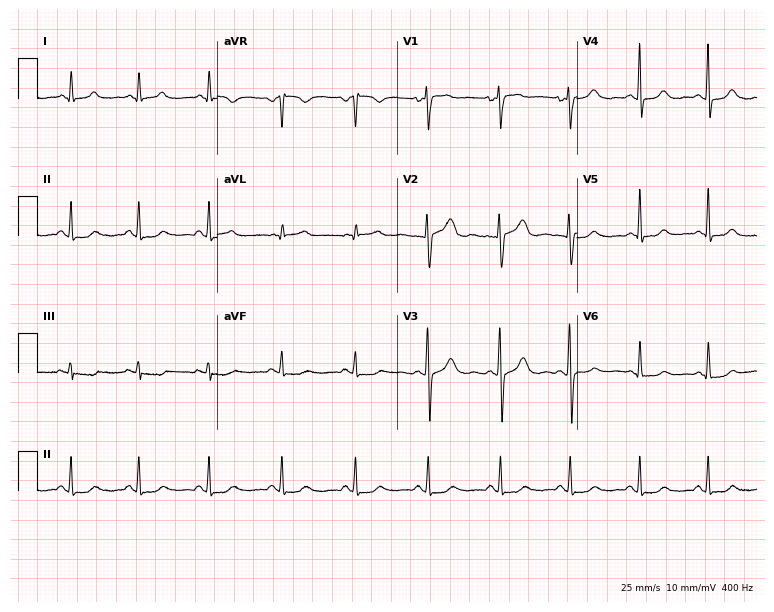
12-lead ECG from a 38-year-old female patient. Labelled as a normal ECG.